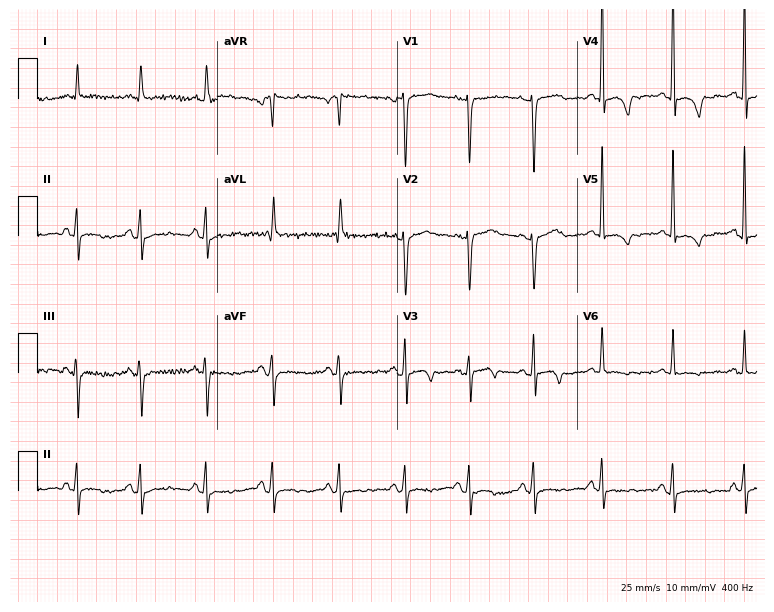
Resting 12-lead electrocardiogram. Patient: a 67-year-old woman. None of these six findings is recorded: first-degree AV block, right bundle branch block, left bundle branch block, sinus bradycardia, atrial fibrillation, sinus tachycardia. Only these six findings were labelled.